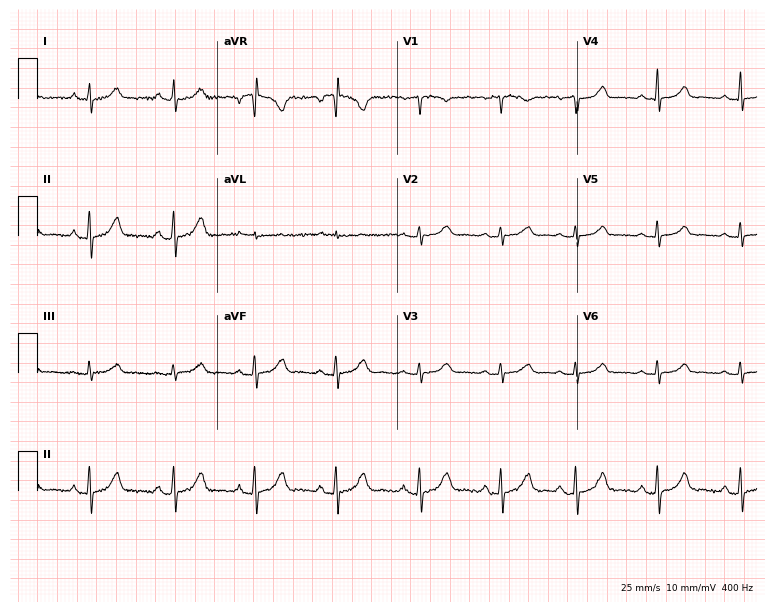
Resting 12-lead electrocardiogram. Patient: a 35-year-old woman. Read as a normal ECG.